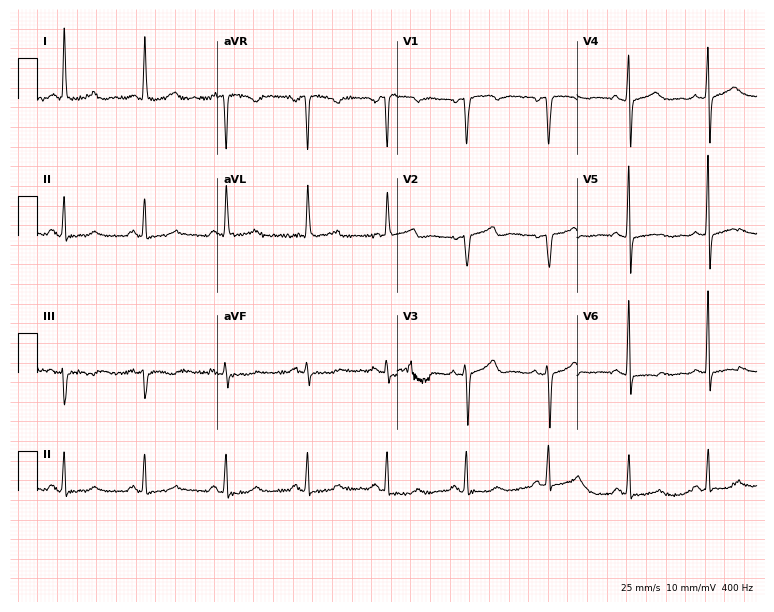
Electrocardiogram (7.3-second recording at 400 Hz), a 64-year-old woman. Of the six screened findings (first-degree AV block, right bundle branch block, left bundle branch block, sinus bradycardia, atrial fibrillation, sinus tachycardia), none is recorded.